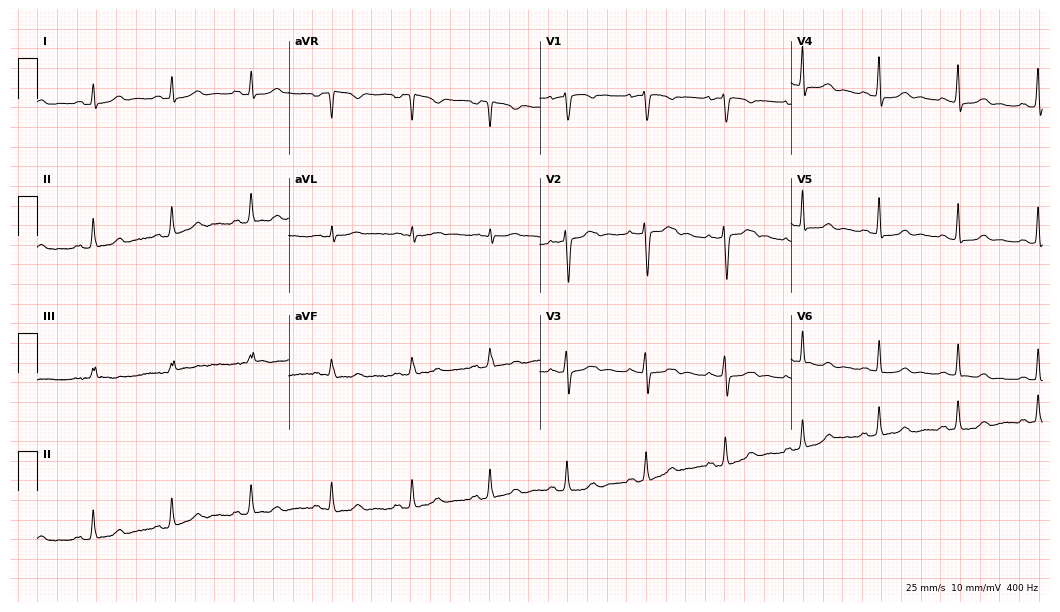
12-lead ECG (10.2-second recording at 400 Hz) from a 30-year-old male. Screened for six findings — first-degree AV block, right bundle branch block, left bundle branch block, sinus bradycardia, atrial fibrillation, sinus tachycardia — none is recorded.